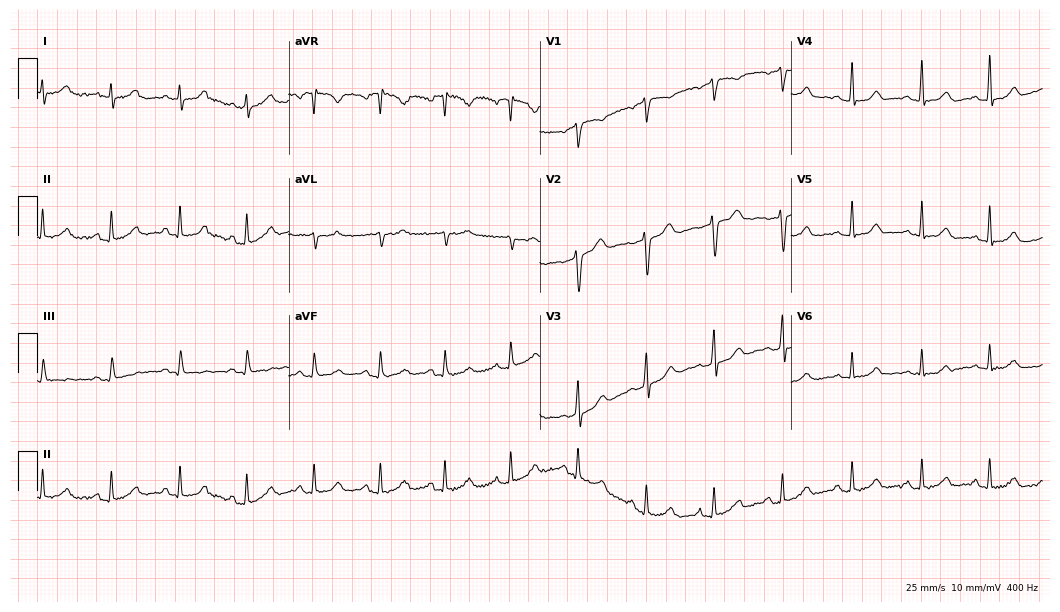
ECG (10.2-second recording at 400 Hz) — a female patient, 39 years old. Labelled as a normal ECG.